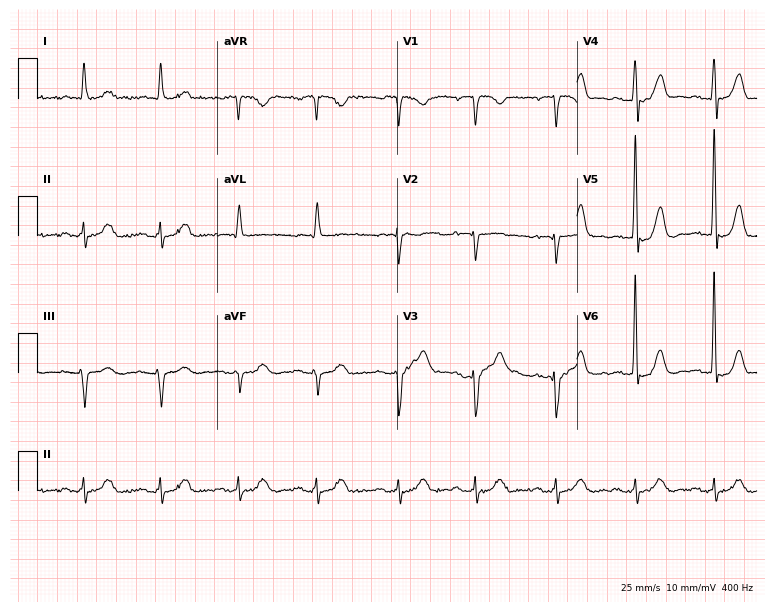
12-lead ECG from a 78-year-old male patient. Recorded interpretation: within normal limits.